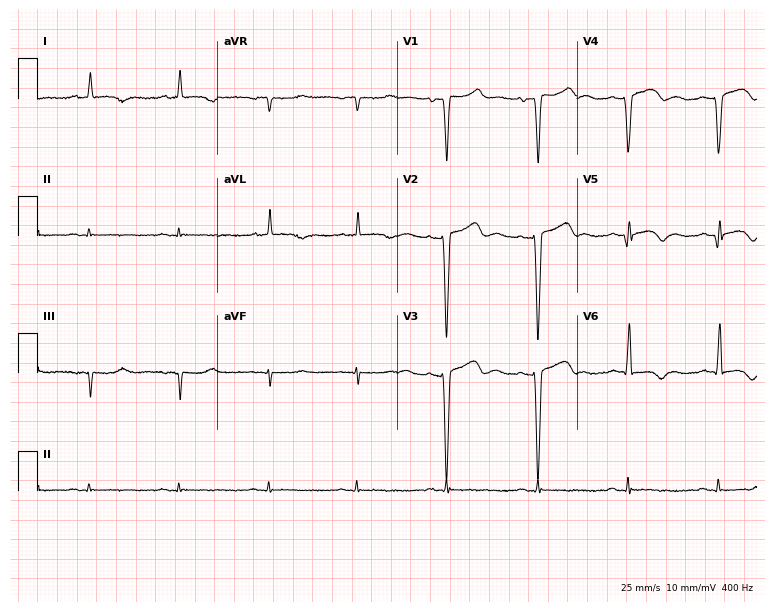
Resting 12-lead electrocardiogram (7.3-second recording at 400 Hz). Patient: a woman, 69 years old. None of these six findings is recorded: first-degree AV block, right bundle branch block, left bundle branch block, sinus bradycardia, atrial fibrillation, sinus tachycardia. Only these six findings were labelled.